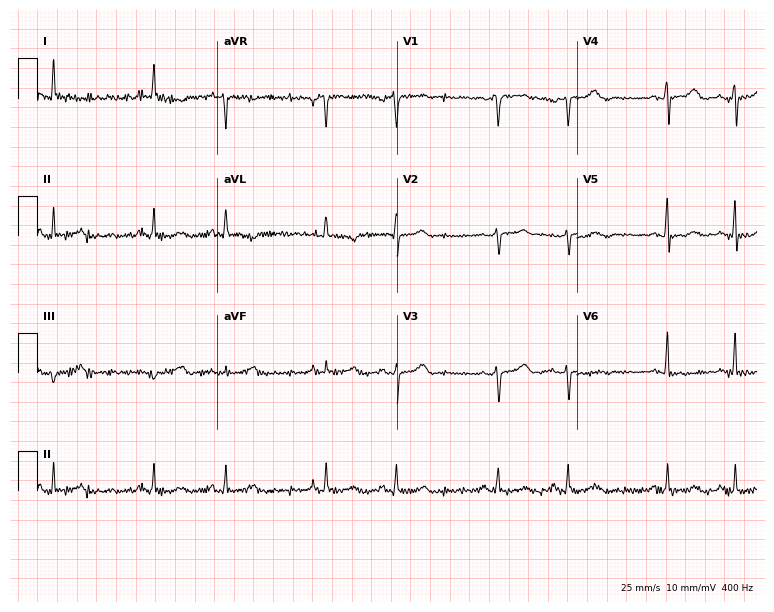
Resting 12-lead electrocardiogram (7.3-second recording at 400 Hz). Patient: a woman, 63 years old. None of these six findings is recorded: first-degree AV block, right bundle branch block, left bundle branch block, sinus bradycardia, atrial fibrillation, sinus tachycardia.